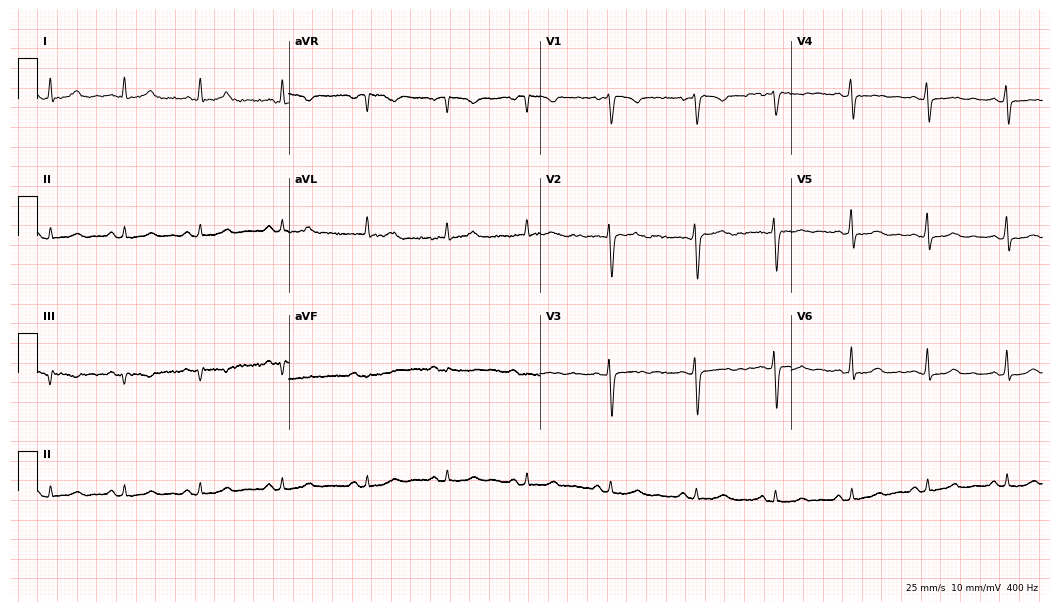
Standard 12-lead ECG recorded from a 42-year-old woman. Read as a normal ECG.